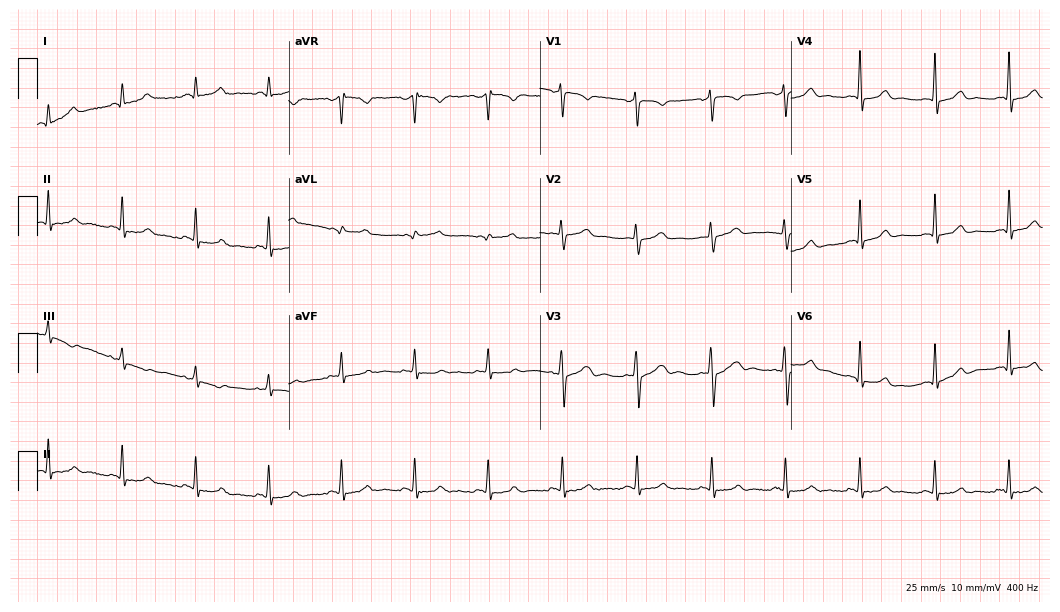
12-lead ECG from a female patient, 41 years old (10.2-second recording at 400 Hz). Recorded interpretation: within normal limits.